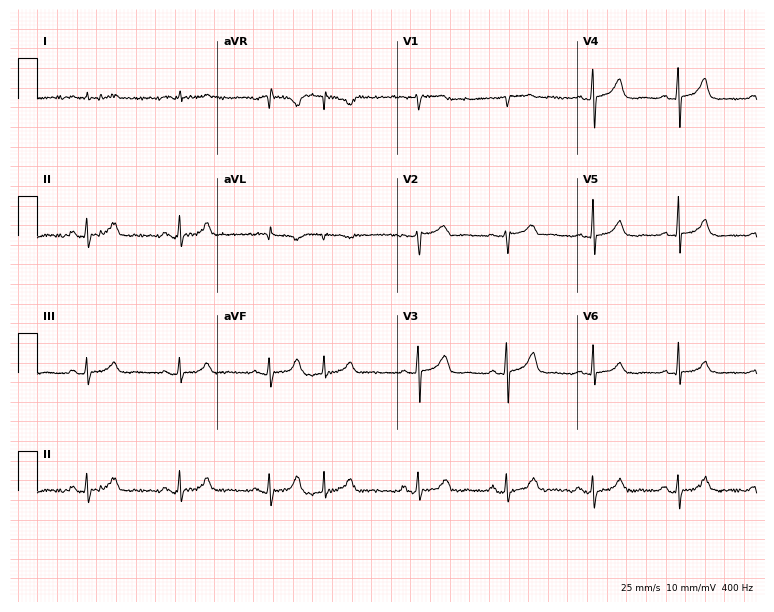
ECG — a 70-year-old male. Screened for six findings — first-degree AV block, right bundle branch block (RBBB), left bundle branch block (LBBB), sinus bradycardia, atrial fibrillation (AF), sinus tachycardia — none is recorded. Findings outside these six are not listed.